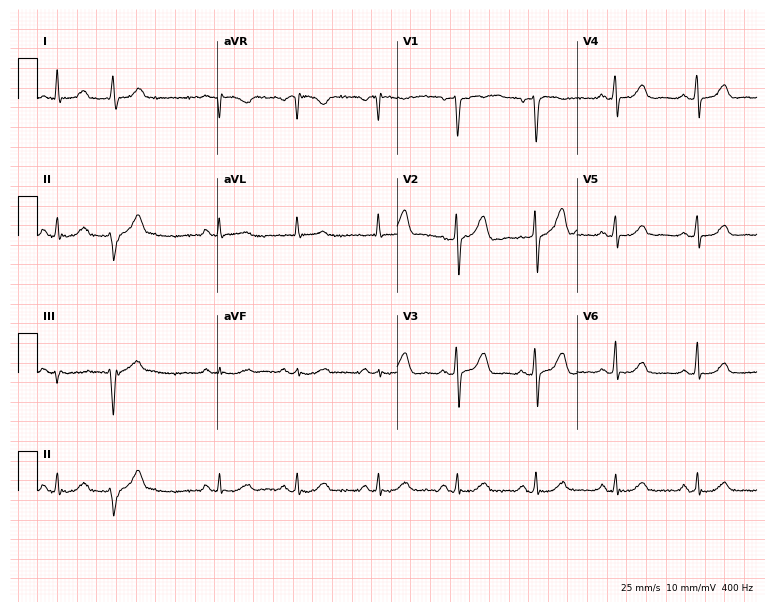
Standard 12-lead ECG recorded from a man, 72 years old. None of these six findings is recorded: first-degree AV block, right bundle branch block (RBBB), left bundle branch block (LBBB), sinus bradycardia, atrial fibrillation (AF), sinus tachycardia. Only these six findings were labelled.